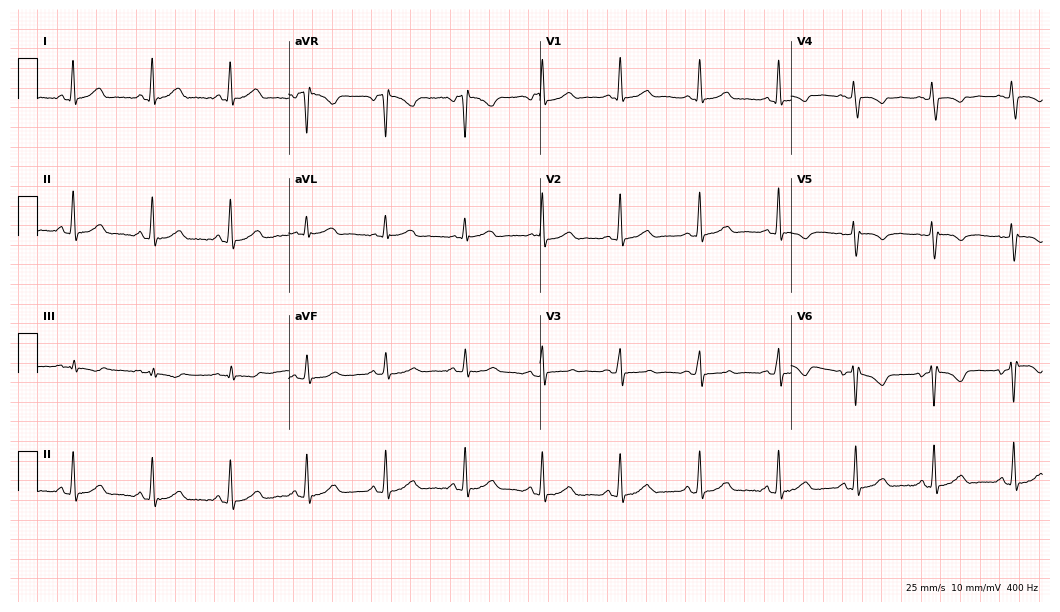
12-lead ECG from a woman, 42 years old. Screened for six findings — first-degree AV block, right bundle branch block (RBBB), left bundle branch block (LBBB), sinus bradycardia, atrial fibrillation (AF), sinus tachycardia — none is recorded.